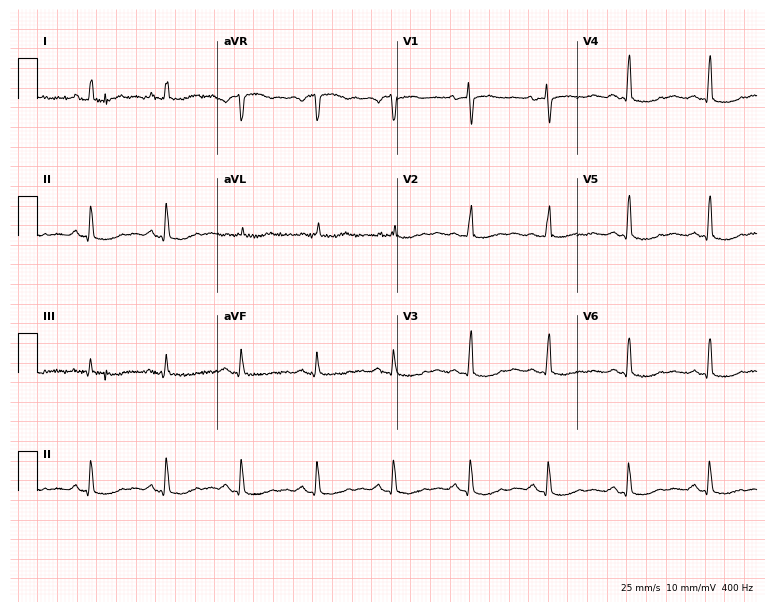
Electrocardiogram, a 64-year-old woman. Of the six screened findings (first-degree AV block, right bundle branch block, left bundle branch block, sinus bradycardia, atrial fibrillation, sinus tachycardia), none is recorded.